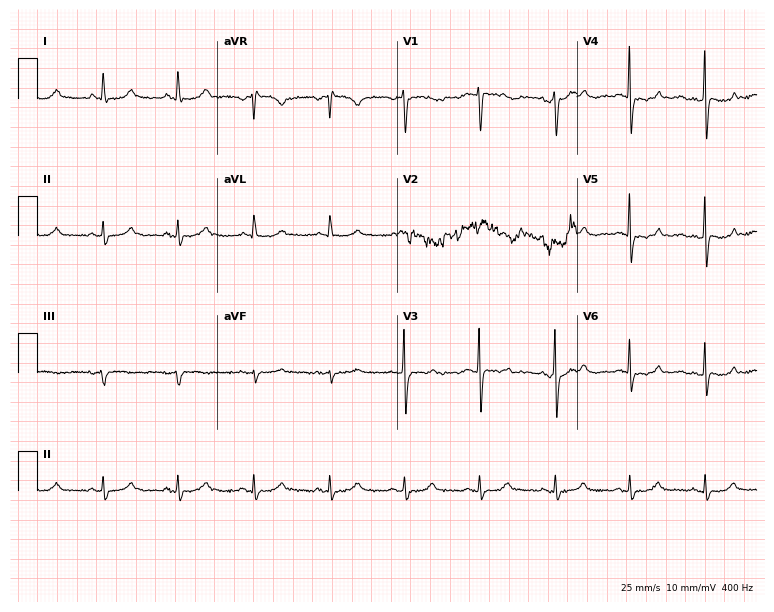
12-lead ECG from a 49-year-old woman (7.3-second recording at 400 Hz). No first-degree AV block, right bundle branch block (RBBB), left bundle branch block (LBBB), sinus bradycardia, atrial fibrillation (AF) or sinus tachycardia recorded for this tracing.